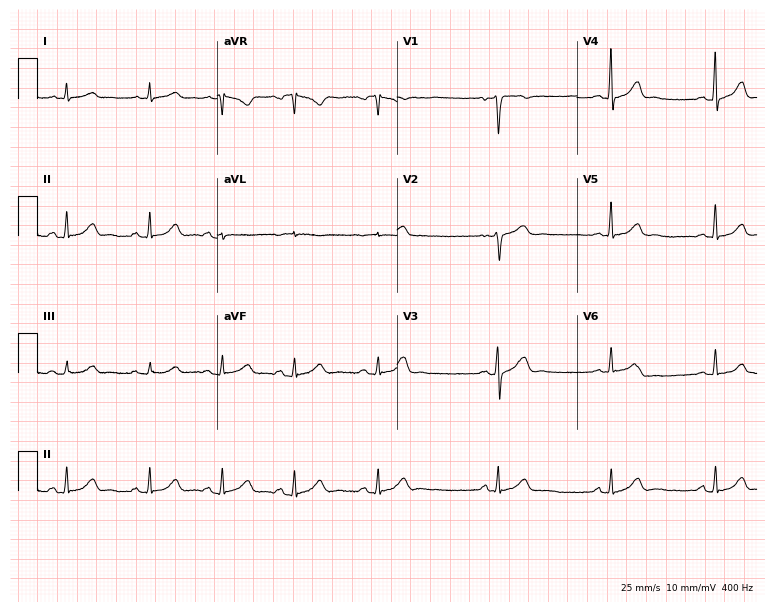
12-lead ECG from a 17-year-old man. Screened for six findings — first-degree AV block, right bundle branch block, left bundle branch block, sinus bradycardia, atrial fibrillation, sinus tachycardia — none is recorded.